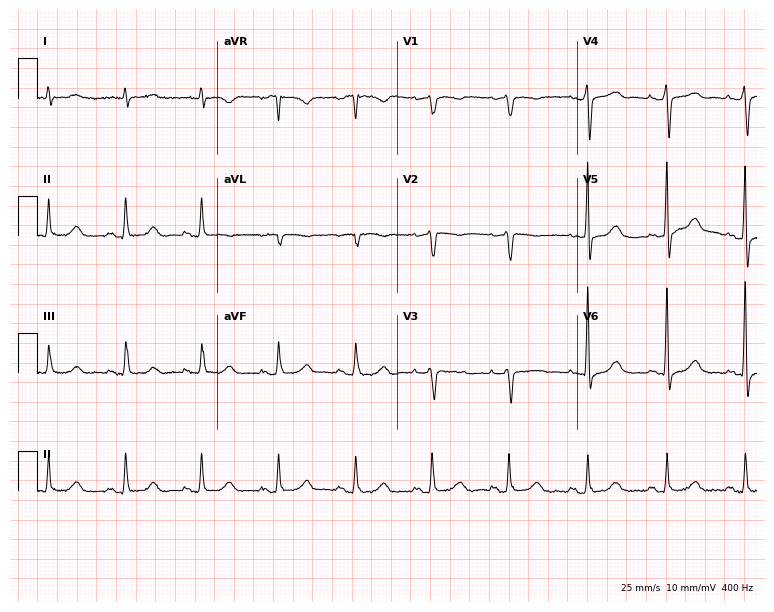
Standard 12-lead ECG recorded from a female patient, 67 years old (7.3-second recording at 400 Hz). None of these six findings is recorded: first-degree AV block, right bundle branch block, left bundle branch block, sinus bradycardia, atrial fibrillation, sinus tachycardia. Findings outside these six are not listed.